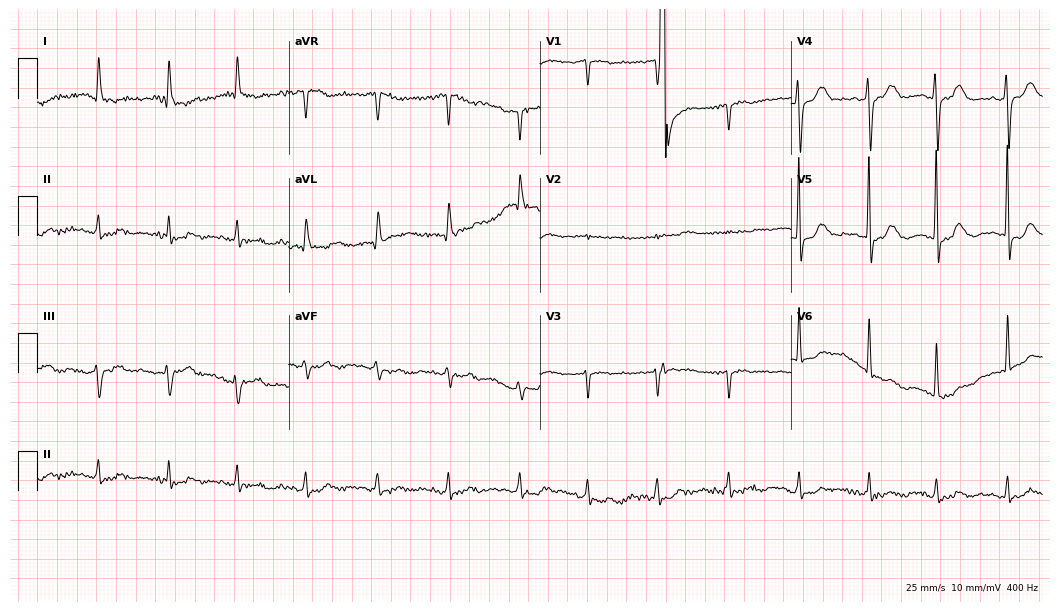
ECG — a 76-year-old female. Screened for six findings — first-degree AV block, right bundle branch block (RBBB), left bundle branch block (LBBB), sinus bradycardia, atrial fibrillation (AF), sinus tachycardia — none is recorded.